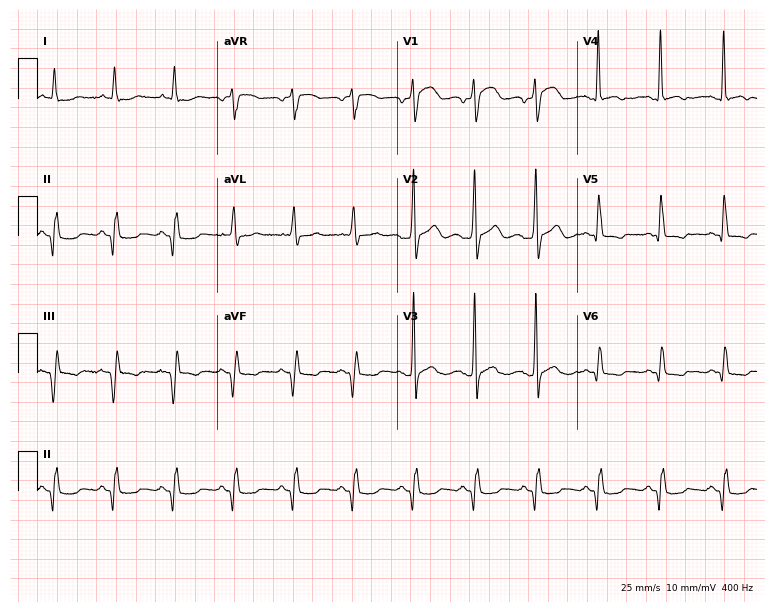
12-lead ECG from a male patient, 43 years old (7.3-second recording at 400 Hz). No first-degree AV block, right bundle branch block (RBBB), left bundle branch block (LBBB), sinus bradycardia, atrial fibrillation (AF) or sinus tachycardia recorded for this tracing. Findings outside these six are not listed.